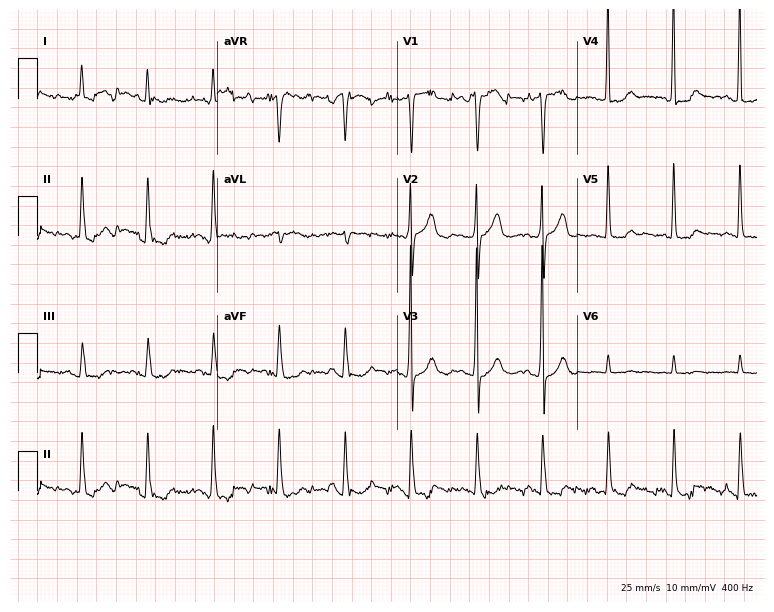
12-lead ECG from a female, 78 years old. Screened for six findings — first-degree AV block, right bundle branch block, left bundle branch block, sinus bradycardia, atrial fibrillation, sinus tachycardia — none is recorded.